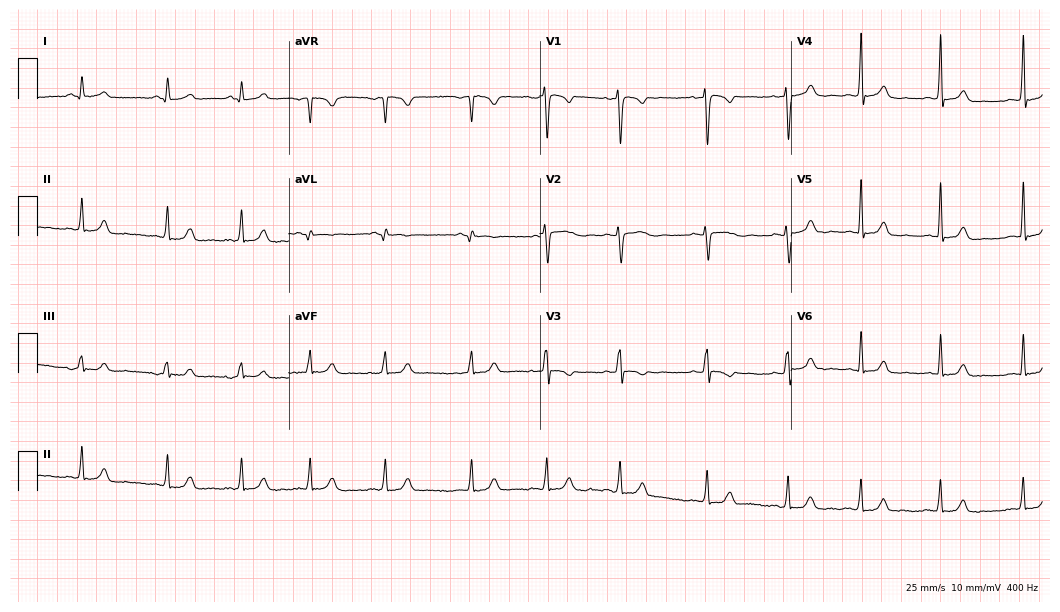
ECG — a female, 21 years old. Labelled as a normal ECG.